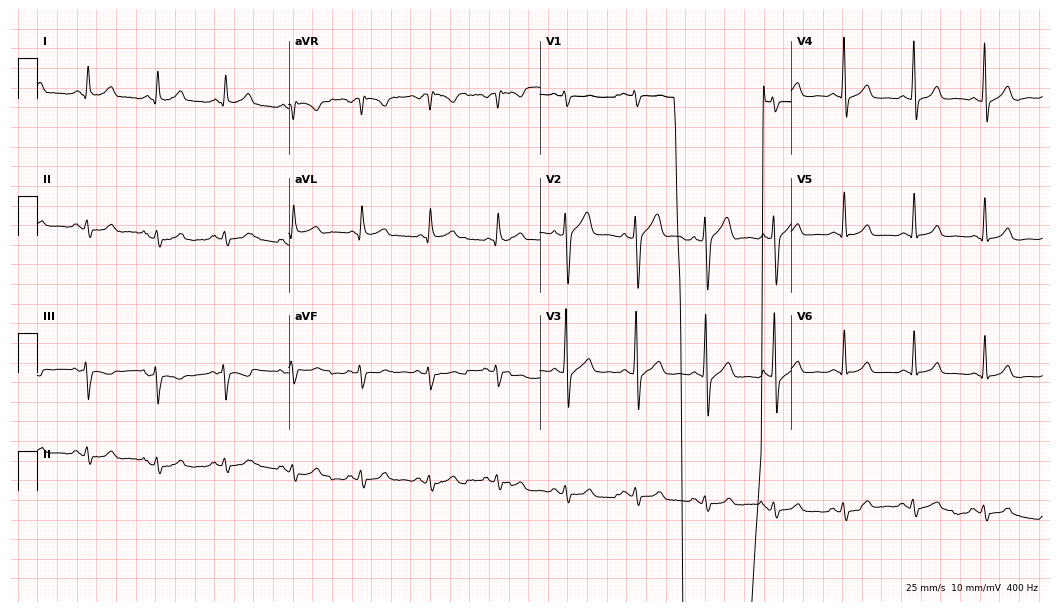
ECG (10.2-second recording at 400 Hz) — a man, 46 years old. Screened for six findings — first-degree AV block, right bundle branch block (RBBB), left bundle branch block (LBBB), sinus bradycardia, atrial fibrillation (AF), sinus tachycardia — none is recorded.